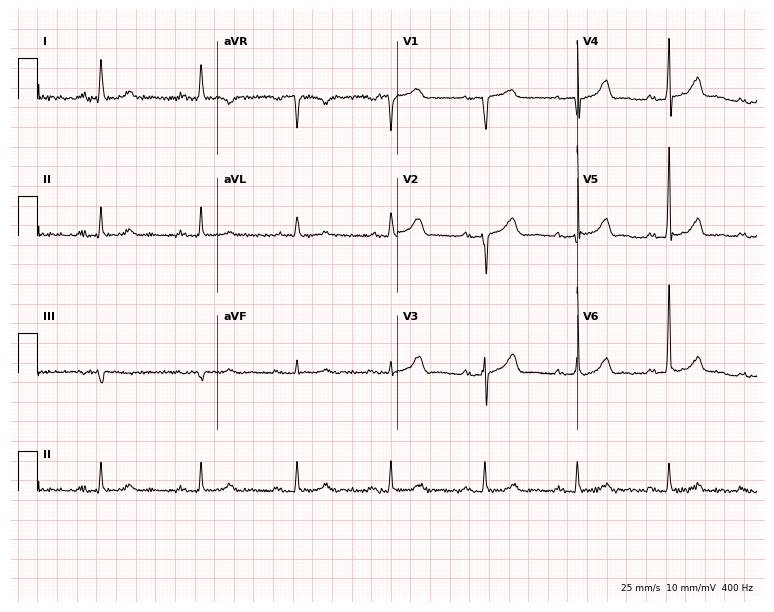
12-lead ECG from an 80-year-old female patient (7.3-second recording at 400 Hz). Recorded interpretation: within normal limits.